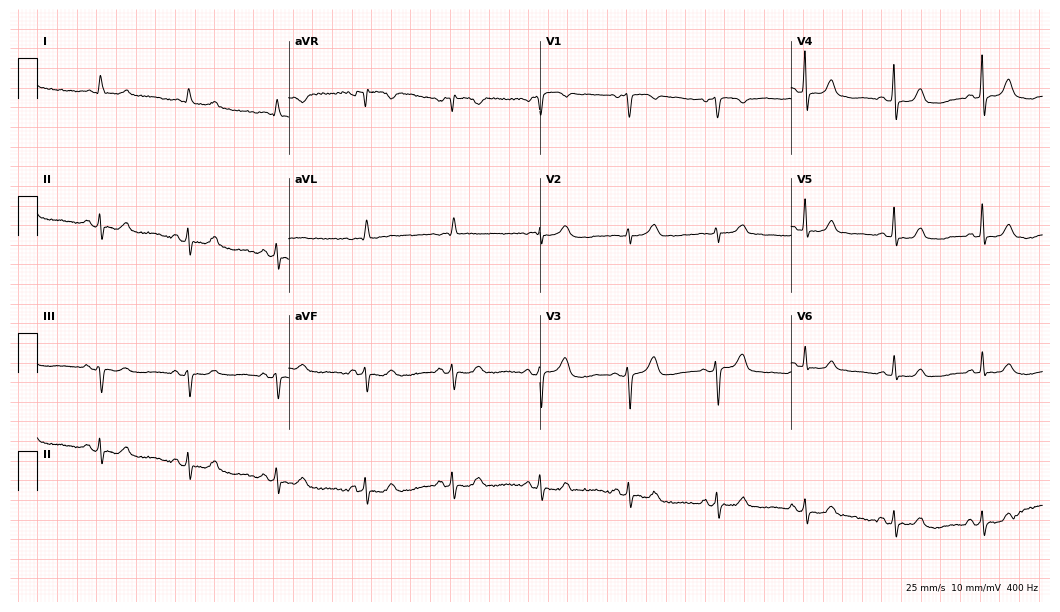
12-lead ECG from a woman, 74 years old. Labelled as a normal ECG.